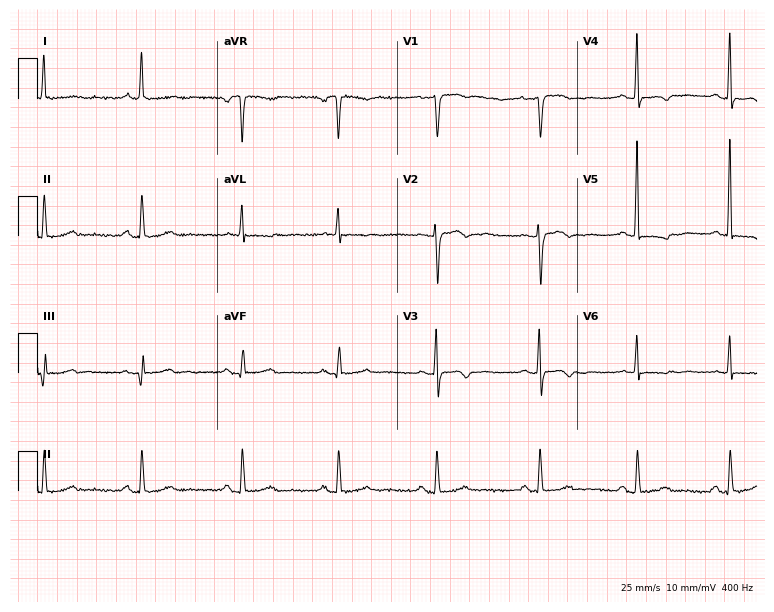
Standard 12-lead ECG recorded from a 60-year-old woman. None of these six findings is recorded: first-degree AV block, right bundle branch block (RBBB), left bundle branch block (LBBB), sinus bradycardia, atrial fibrillation (AF), sinus tachycardia. Findings outside these six are not listed.